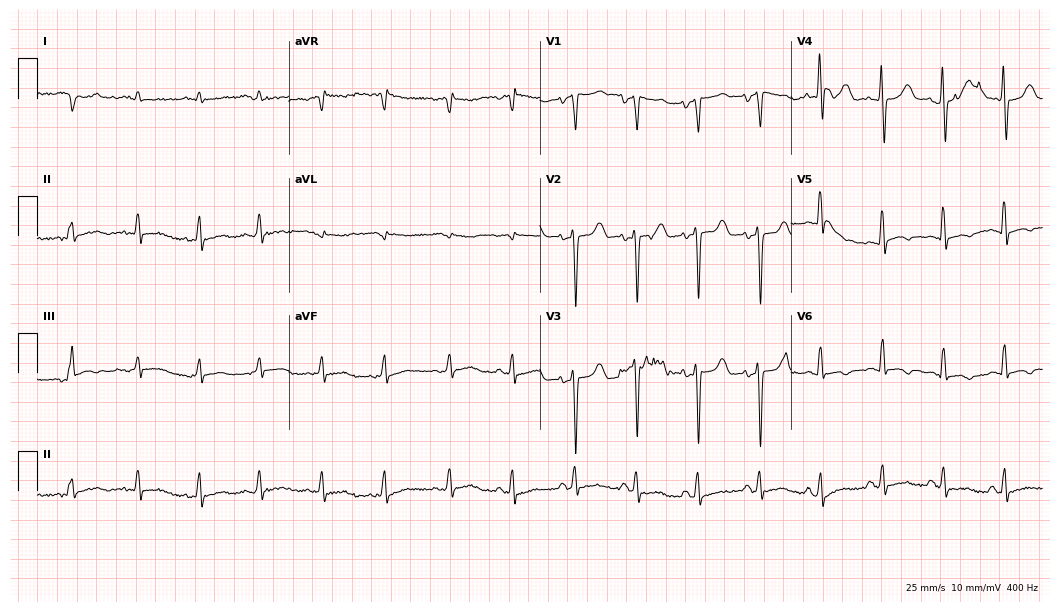
ECG — an 85-year-old woman. Screened for six findings — first-degree AV block, right bundle branch block (RBBB), left bundle branch block (LBBB), sinus bradycardia, atrial fibrillation (AF), sinus tachycardia — none is recorded.